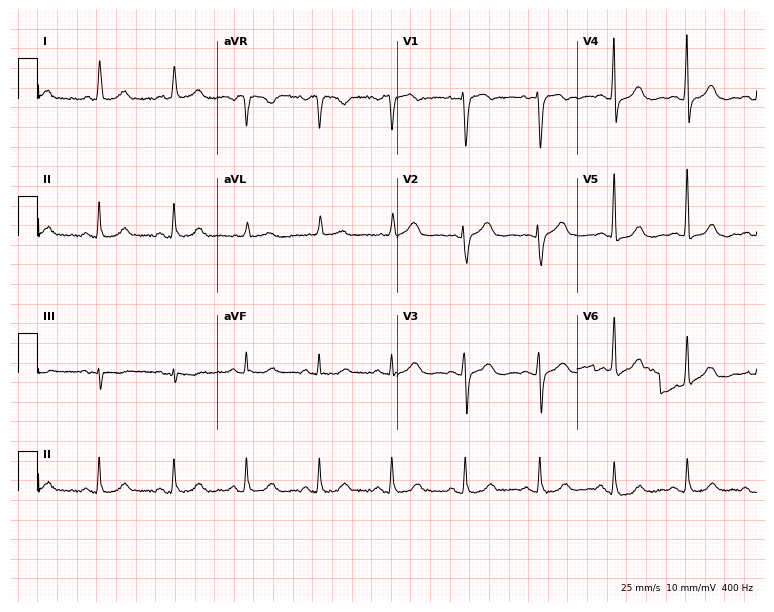
Standard 12-lead ECG recorded from a female, 62 years old (7.3-second recording at 400 Hz). Read as a normal ECG.